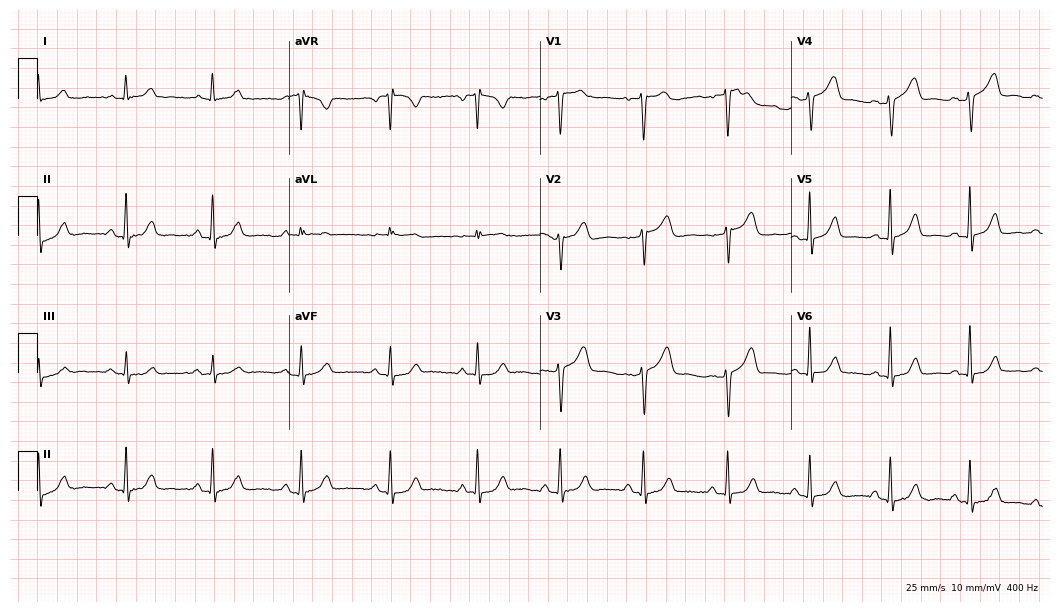
Standard 12-lead ECG recorded from a 50-year-old female. None of these six findings is recorded: first-degree AV block, right bundle branch block, left bundle branch block, sinus bradycardia, atrial fibrillation, sinus tachycardia. Findings outside these six are not listed.